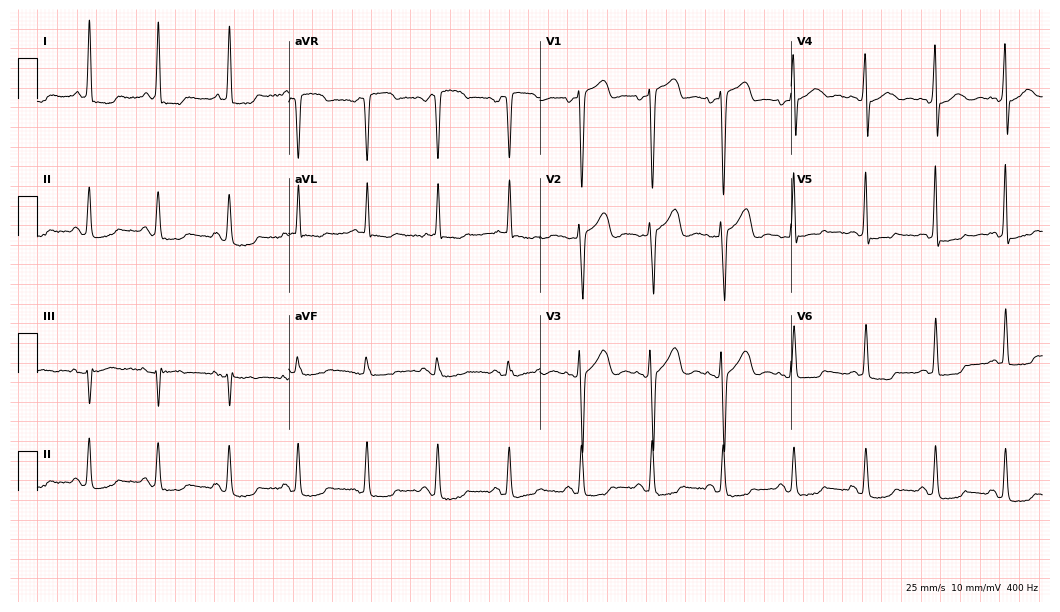
Standard 12-lead ECG recorded from a 69-year-old female patient. None of these six findings is recorded: first-degree AV block, right bundle branch block, left bundle branch block, sinus bradycardia, atrial fibrillation, sinus tachycardia. Other findings, if any, are not listed.